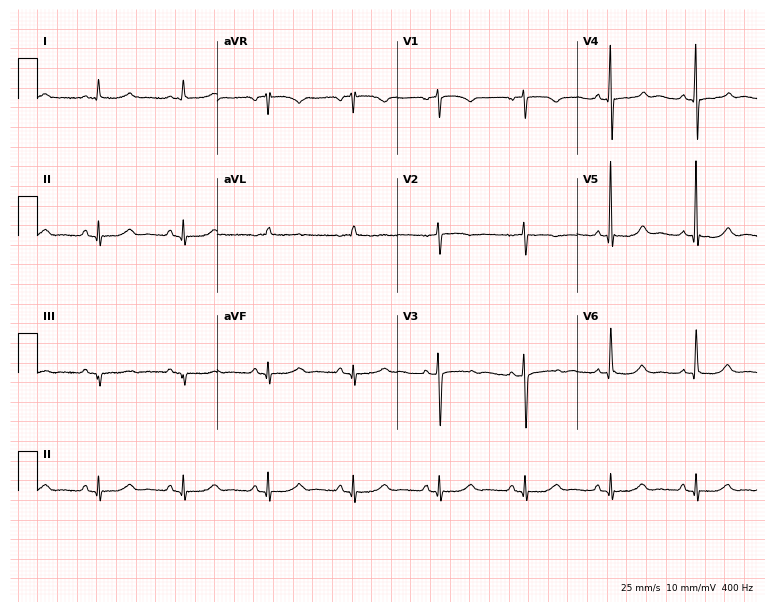
12-lead ECG from a female, 85 years old (7.3-second recording at 400 Hz). Recorded interpretation: within normal limits.